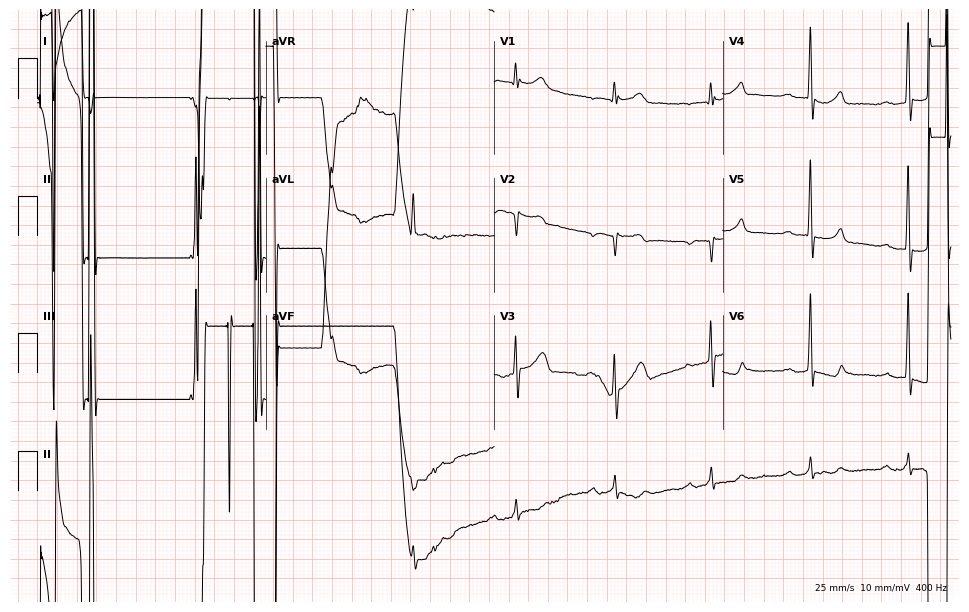
ECG — a man, 66 years old. Screened for six findings — first-degree AV block, right bundle branch block (RBBB), left bundle branch block (LBBB), sinus bradycardia, atrial fibrillation (AF), sinus tachycardia — none is recorded. Only these six findings were labelled.